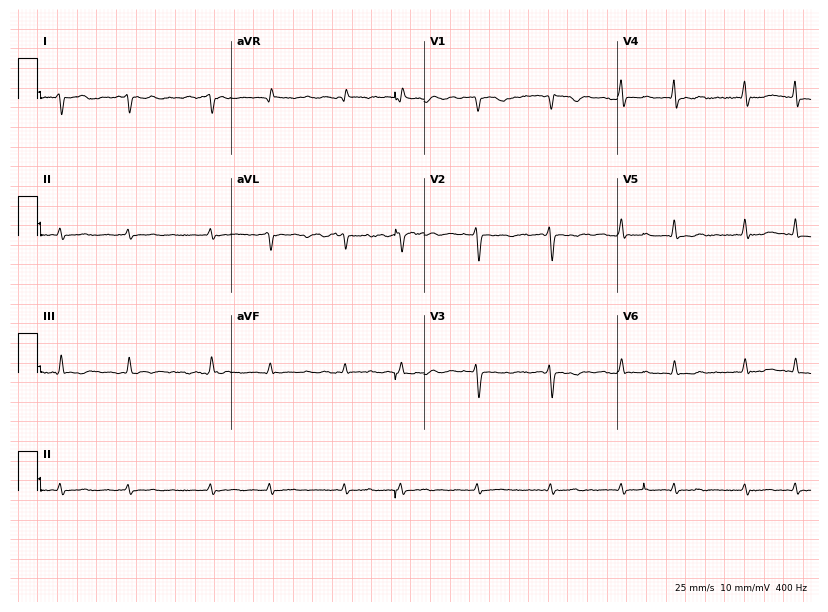
Resting 12-lead electrocardiogram. Patient: a 69-year-old female. None of these six findings is recorded: first-degree AV block, right bundle branch block, left bundle branch block, sinus bradycardia, atrial fibrillation, sinus tachycardia.